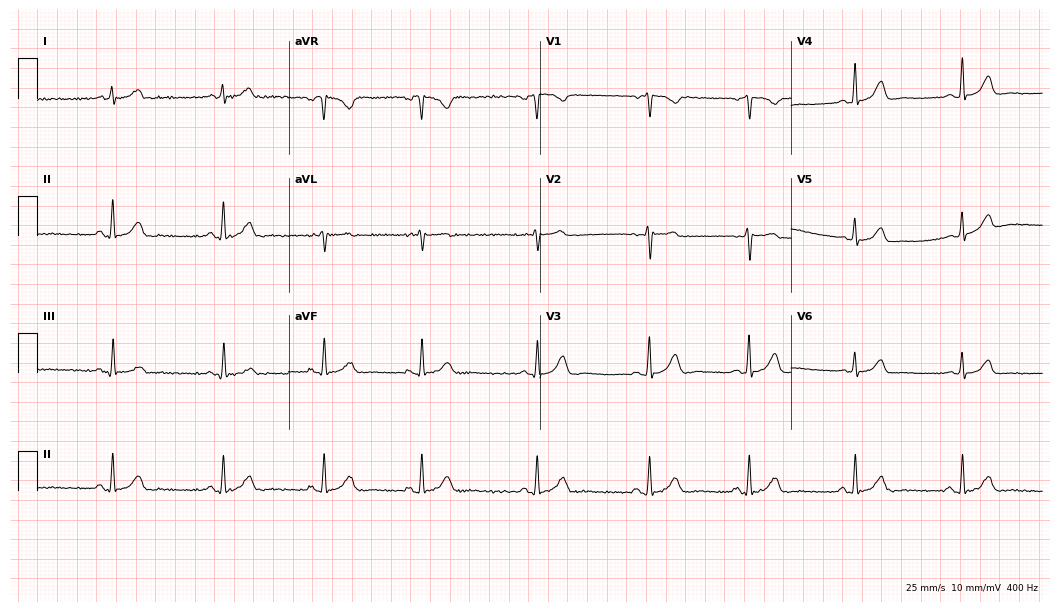
Standard 12-lead ECG recorded from a 28-year-old man (10.2-second recording at 400 Hz). Read as a normal ECG.